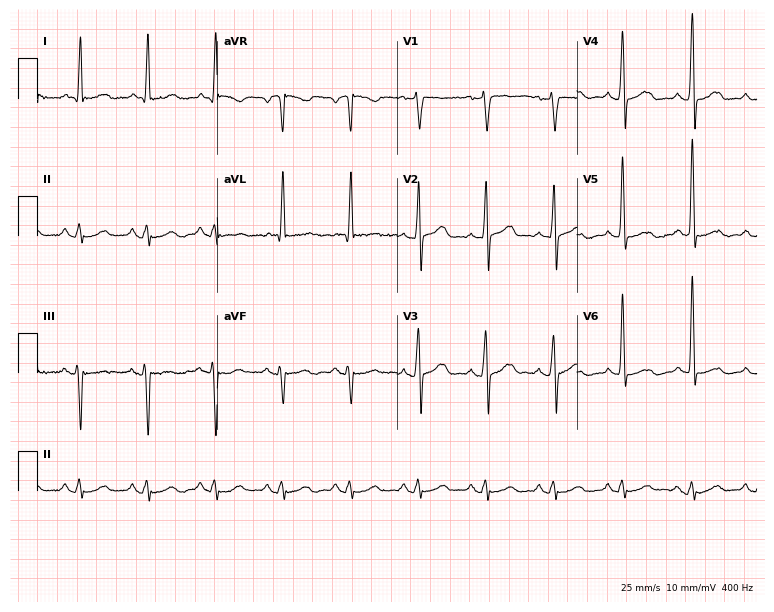
Electrocardiogram (7.3-second recording at 400 Hz), a 78-year-old male. Overall reading on record: normal ECG.